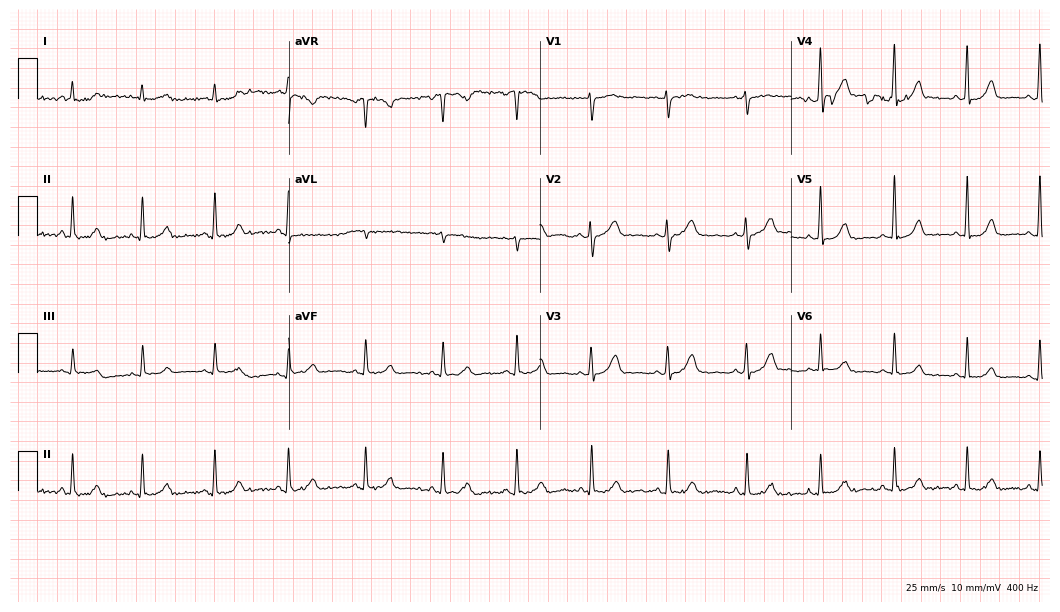
Standard 12-lead ECG recorded from a 62-year-old female patient (10.2-second recording at 400 Hz). Read as a normal ECG.